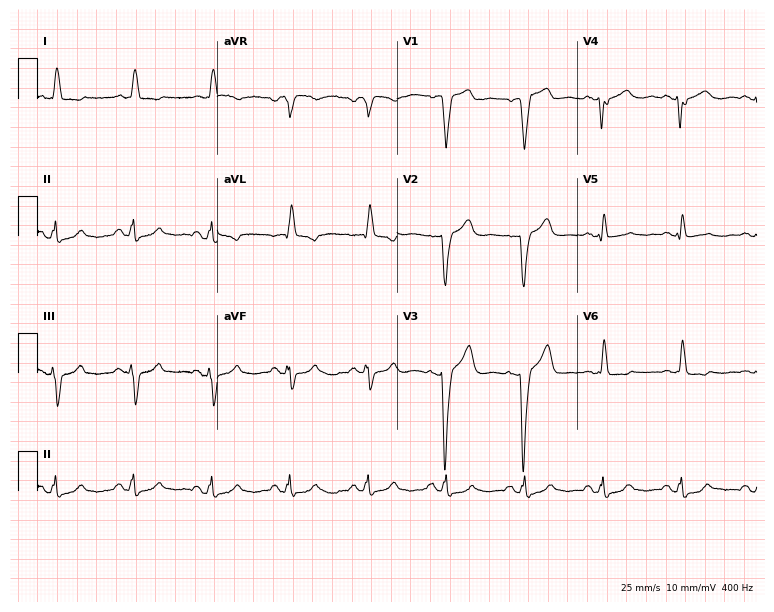
Standard 12-lead ECG recorded from a male, 84 years old (7.3-second recording at 400 Hz). None of these six findings is recorded: first-degree AV block, right bundle branch block, left bundle branch block, sinus bradycardia, atrial fibrillation, sinus tachycardia.